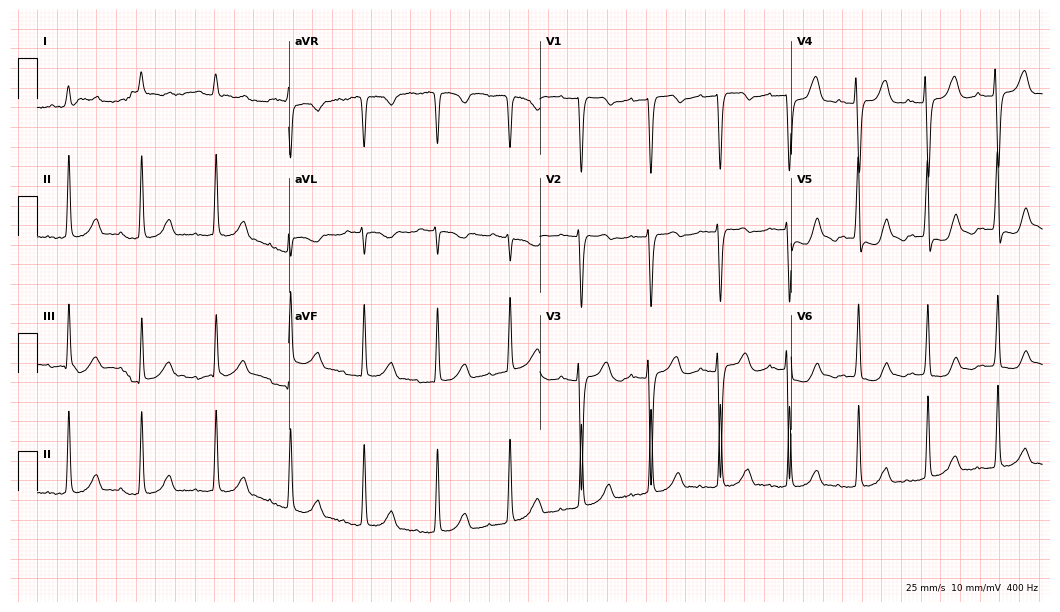
Standard 12-lead ECG recorded from a woman, 61 years old (10.2-second recording at 400 Hz). None of these six findings is recorded: first-degree AV block, right bundle branch block, left bundle branch block, sinus bradycardia, atrial fibrillation, sinus tachycardia. Findings outside these six are not listed.